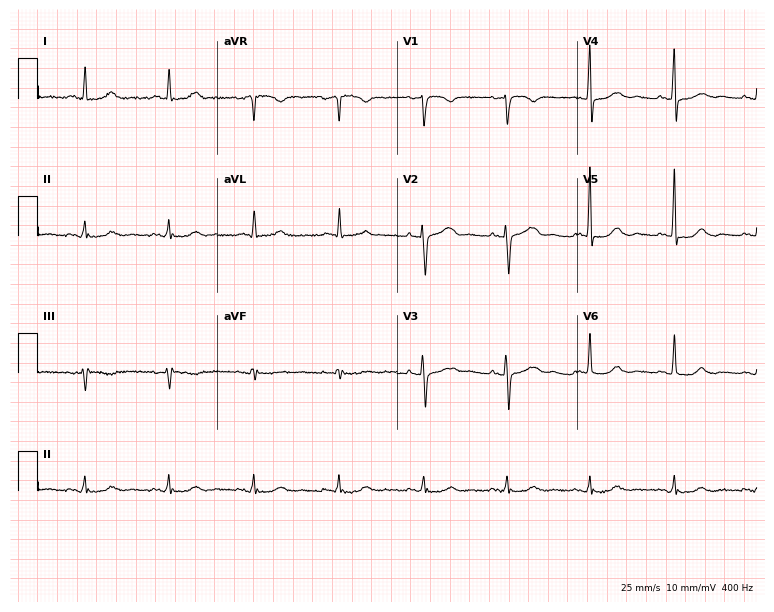
Resting 12-lead electrocardiogram. Patient: a 57-year-old woman. None of these six findings is recorded: first-degree AV block, right bundle branch block, left bundle branch block, sinus bradycardia, atrial fibrillation, sinus tachycardia. Only these six findings were labelled.